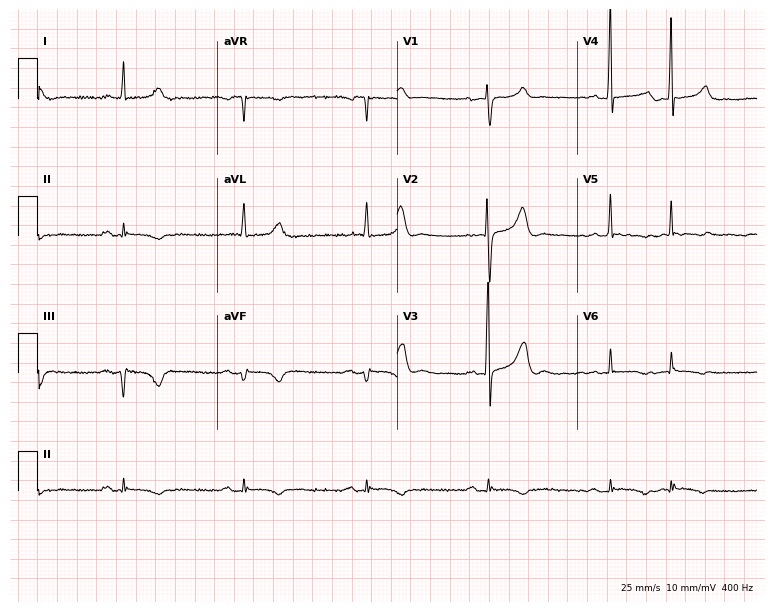
Standard 12-lead ECG recorded from an 83-year-old male patient (7.3-second recording at 400 Hz). None of these six findings is recorded: first-degree AV block, right bundle branch block (RBBB), left bundle branch block (LBBB), sinus bradycardia, atrial fibrillation (AF), sinus tachycardia. Findings outside these six are not listed.